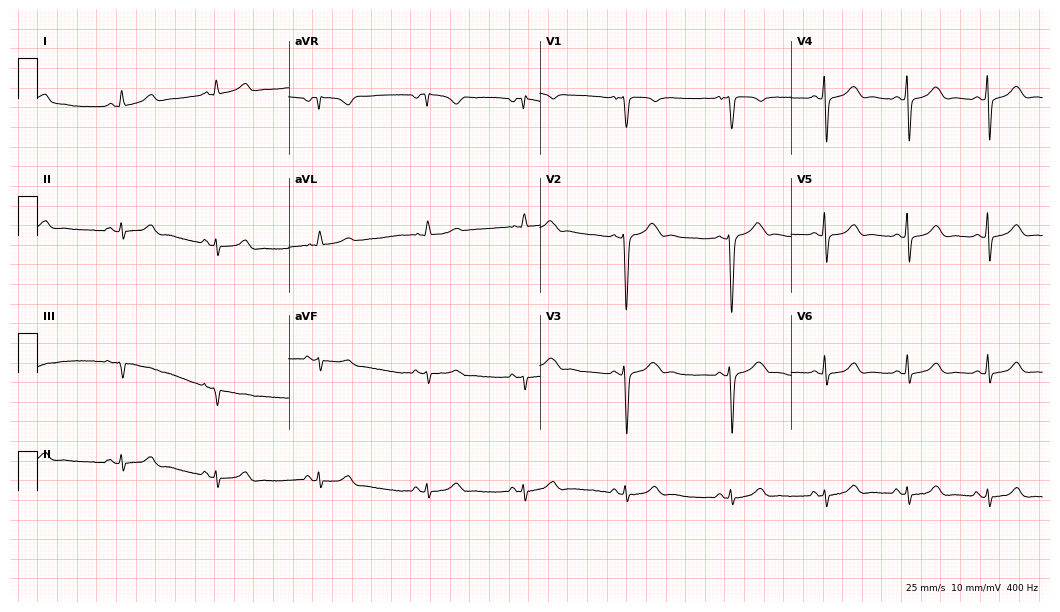
Electrocardiogram, a 21-year-old female patient. Of the six screened findings (first-degree AV block, right bundle branch block (RBBB), left bundle branch block (LBBB), sinus bradycardia, atrial fibrillation (AF), sinus tachycardia), none is recorded.